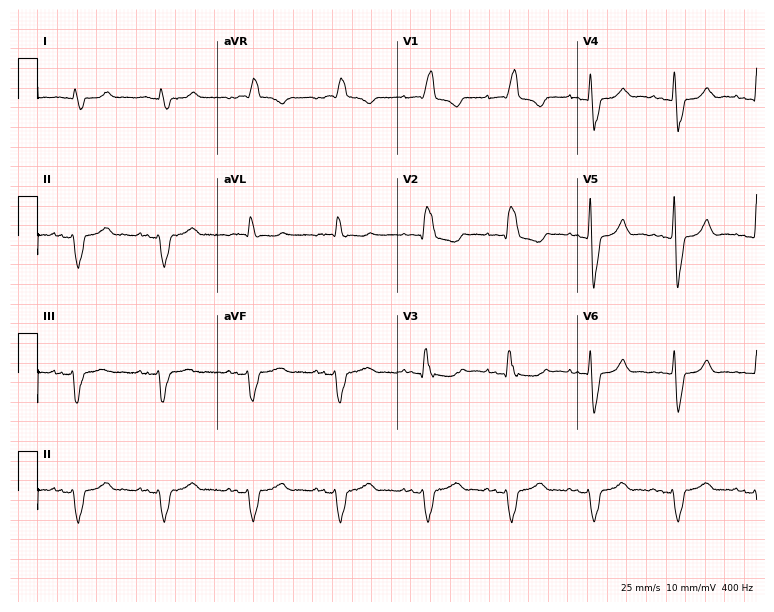
Electrocardiogram, a 71-year-old male. Interpretation includes right bundle branch block (RBBB).